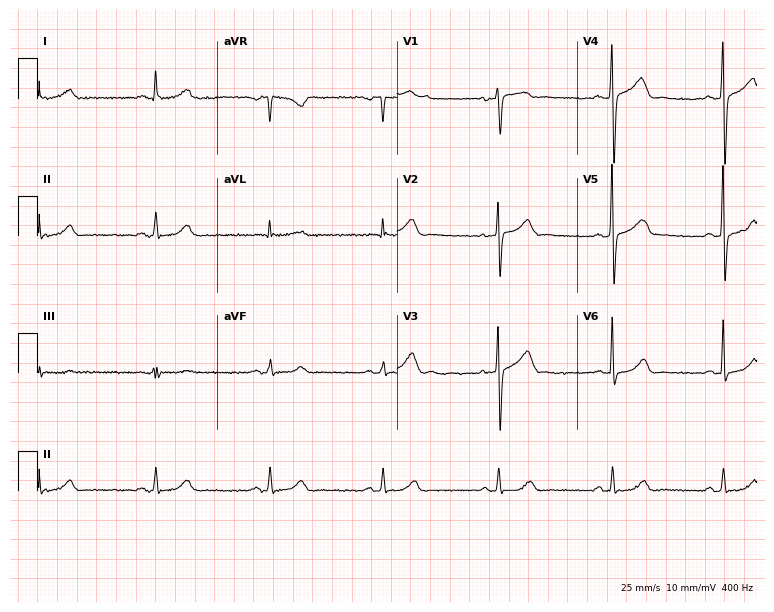
Standard 12-lead ECG recorded from a male patient, 66 years old (7.3-second recording at 400 Hz). Read as a normal ECG.